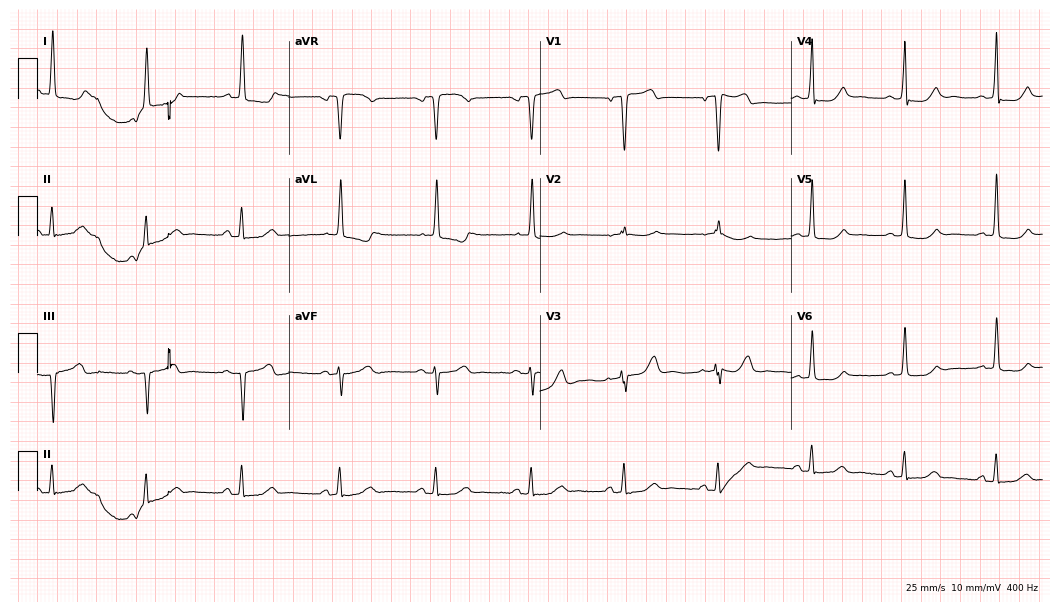
12-lead ECG from a 59-year-old female. Labelled as a normal ECG.